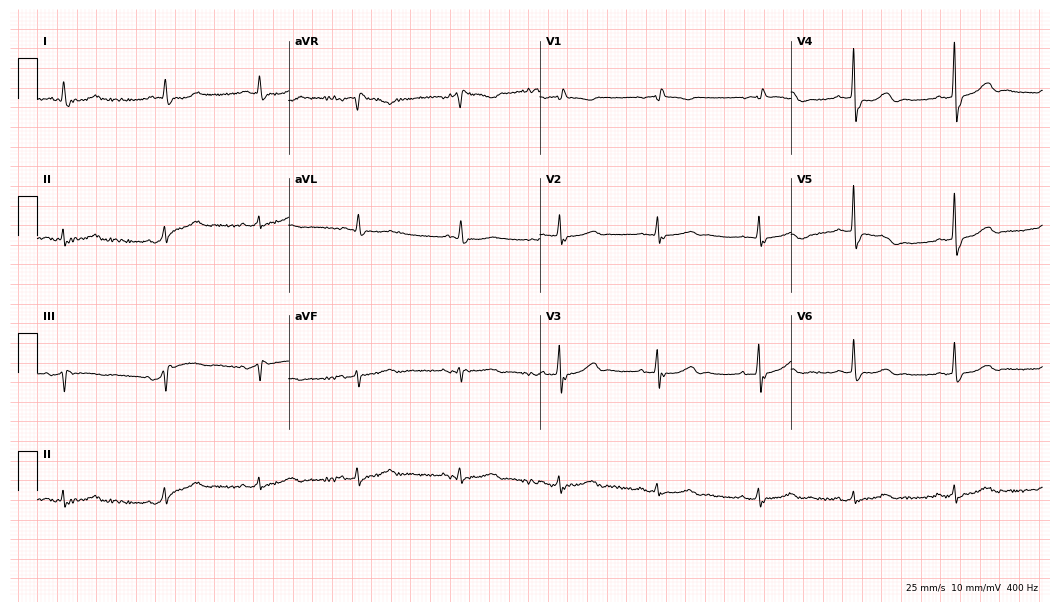
Resting 12-lead electrocardiogram (10.2-second recording at 400 Hz). Patient: a female, 84 years old. None of these six findings is recorded: first-degree AV block, right bundle branch block (RBBB), left bundle branch block (LBBB), sinus bradycardia, atrial fibrillation (AF), sinus tachycardia.